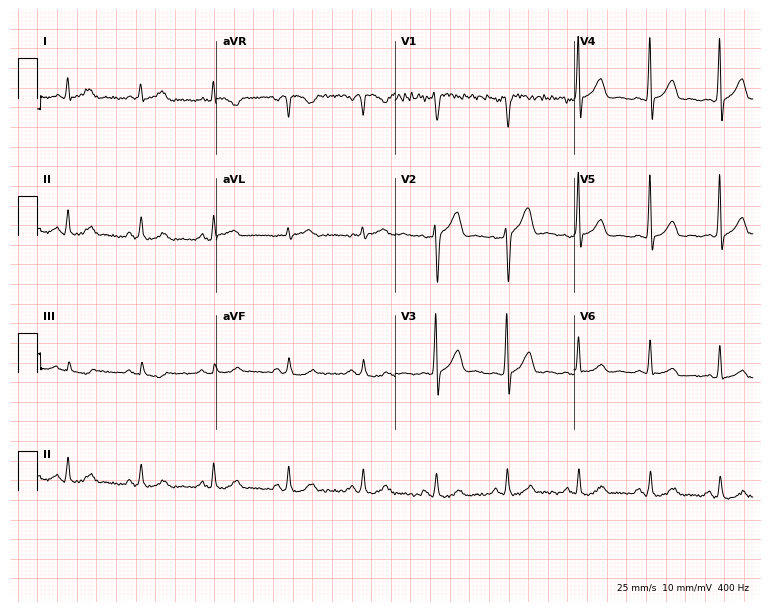
12-lead ECG (7.3-second recording at 400 Hz) from a male, 51 years old. Screened for six findings — first-degree AV block, right bundle branch block, left bundle branch block, sinus bradycardia, atrial fibrillation, sinus tachycardia — none is recorded.